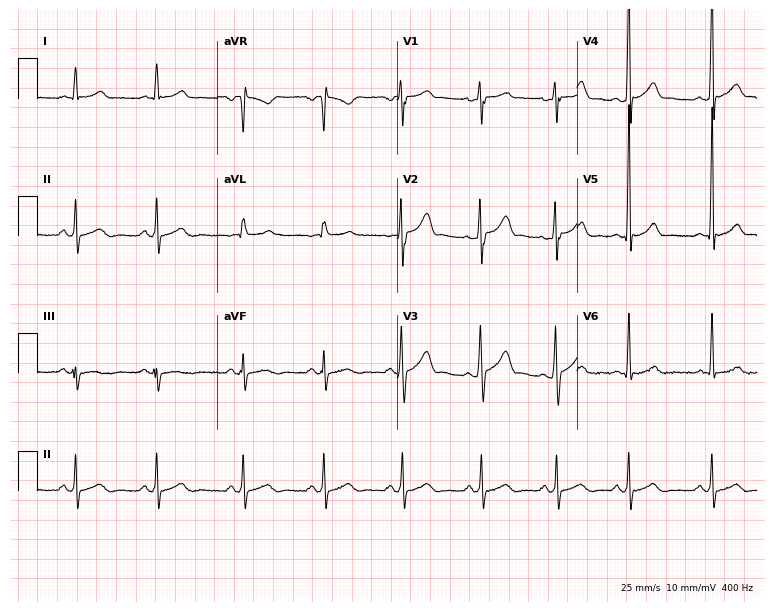
Electrocardiogram, a man, 21 years old. Of the six screened findings (first-degree AV block, right bundle branch block, left bundle branch block, sinus bradycardia, atrial fibrillation, sinus tachycardia), none is recorded. Only these six findings were labelled.